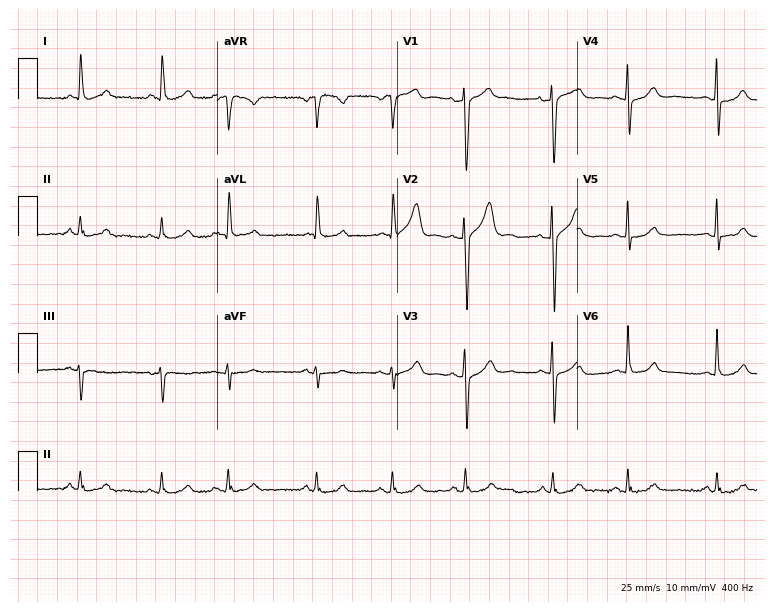
Standard 12-lead ECG recorded from an 83-year-old male patient. None of these six findings is recorded: first-degree AV block, right bundle branch block, left bundle branch block, sinus bradycardia, atrial fibrillation, sinus tachycardia. Findings outside these six are not listed.